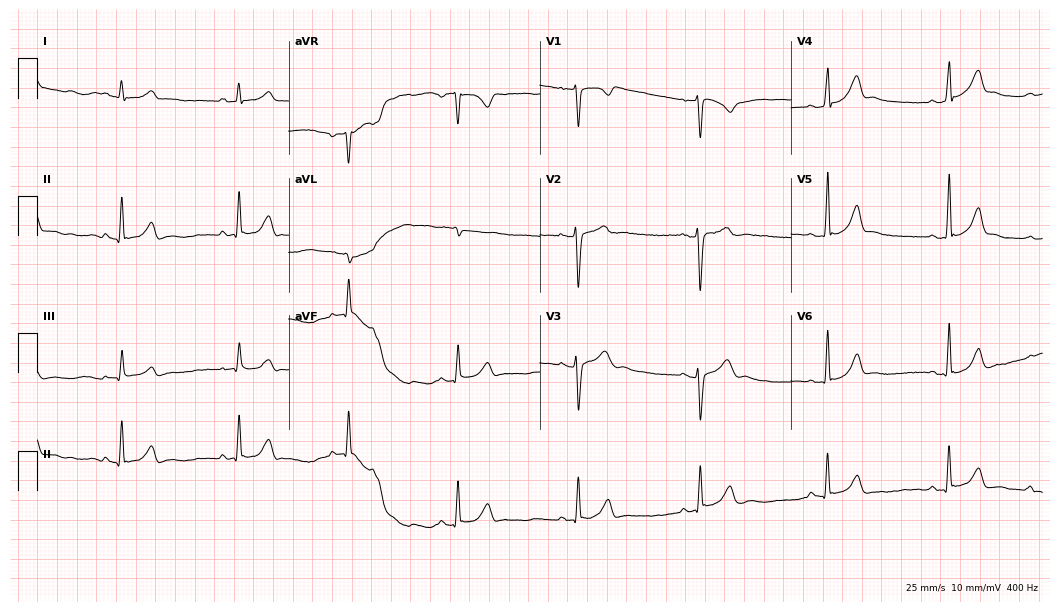
ECG — a female patient, 21 years old. Labelled as a normal ECG.